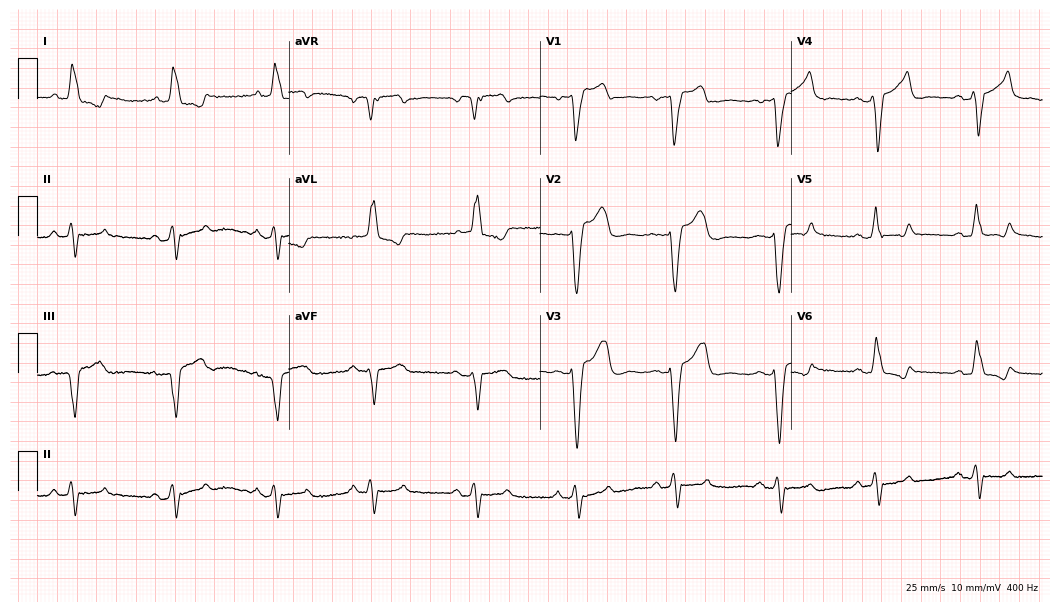
12-lead ECG (10.2-second recording at 400 Hz) from a 69-year-old female. Findings include left bundle branch block.